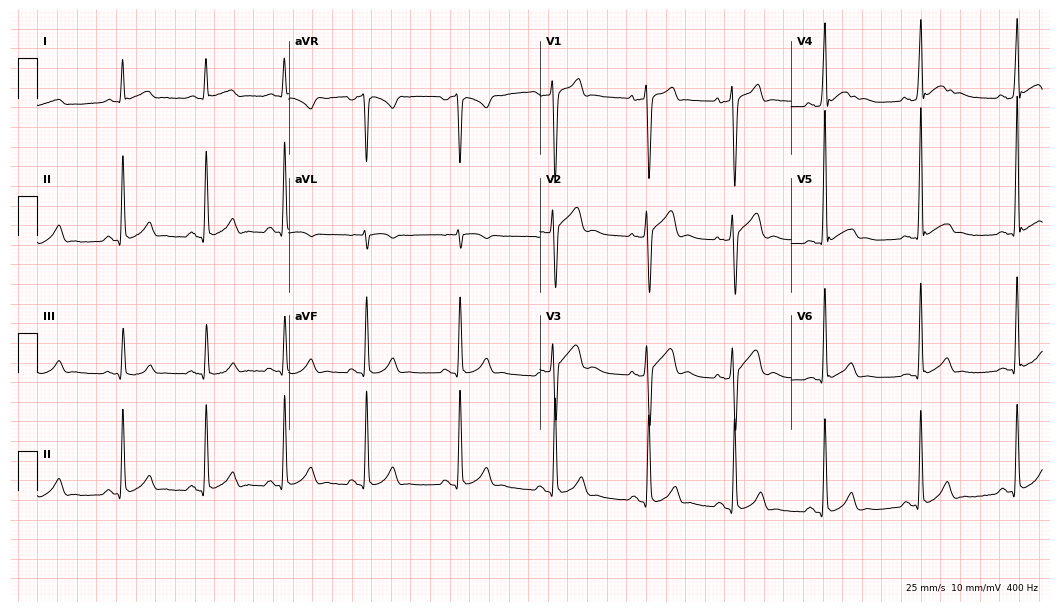
Electrocardiogram, a 34-year-old male. Of the six screened findings (first-degree AV block, right bundle branch block, left bundle branch block, sinus bradycardia, atrial fibrillation, sinus tachycardia), none is recorded.